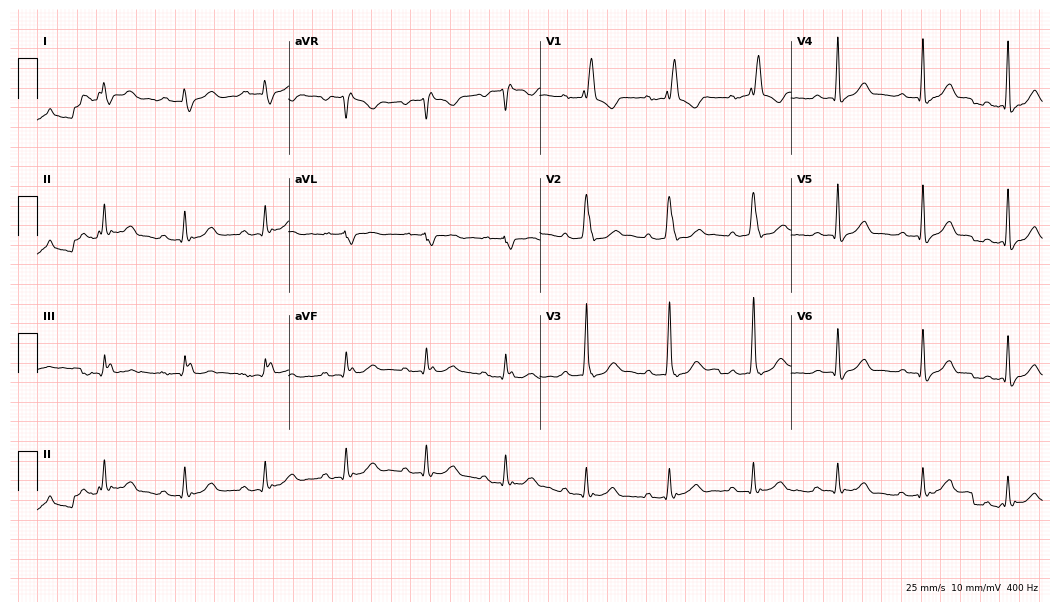
12-lead ECG from an 82-year-old male. No first-degree AV block, right bundle branch block (RBBB), left bundle branch block (LBBB), sinus bradycardia, atrial fibrillation (AF) or sinus tachycardia recorded for this tracing. Findings outside these six are not listed.